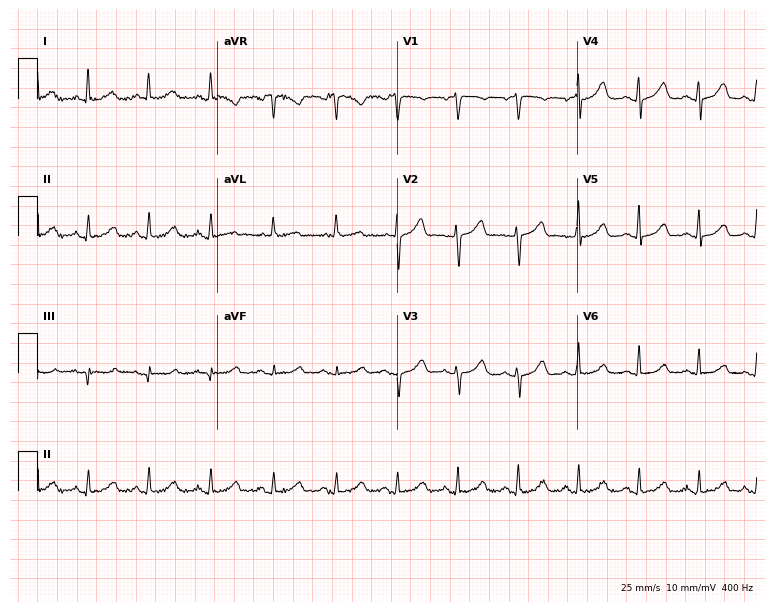
Resting 12-lead electrocardiogram. Patient: a woman, 56 years old. Read as a normal ECG.